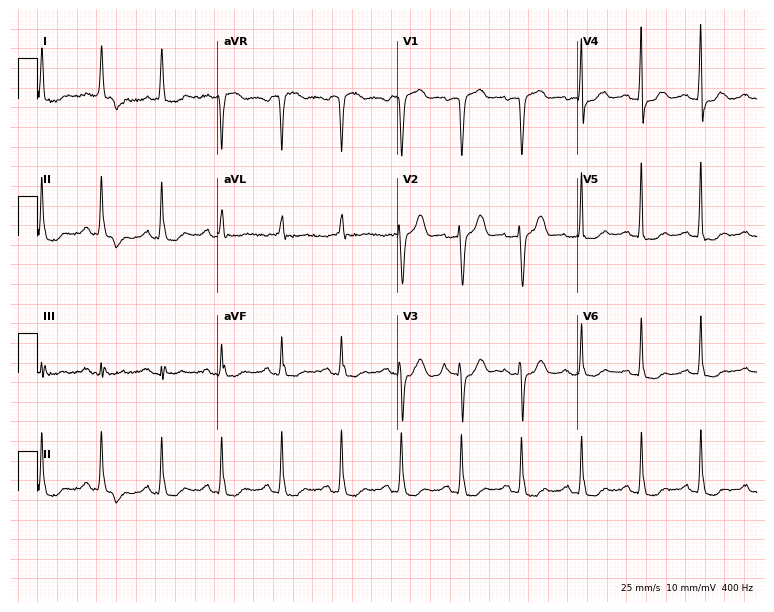
Standard 12-lead ECG recorded from a female, 85 years old. None of these six findings is recorded: first-degree AV block, right bundle branch block (RBBB), left bundle branch block (LBBB), sinus bradycardia, atrial fibrillation (AF), sinus tachycardia. Findings outside these six are not listed.